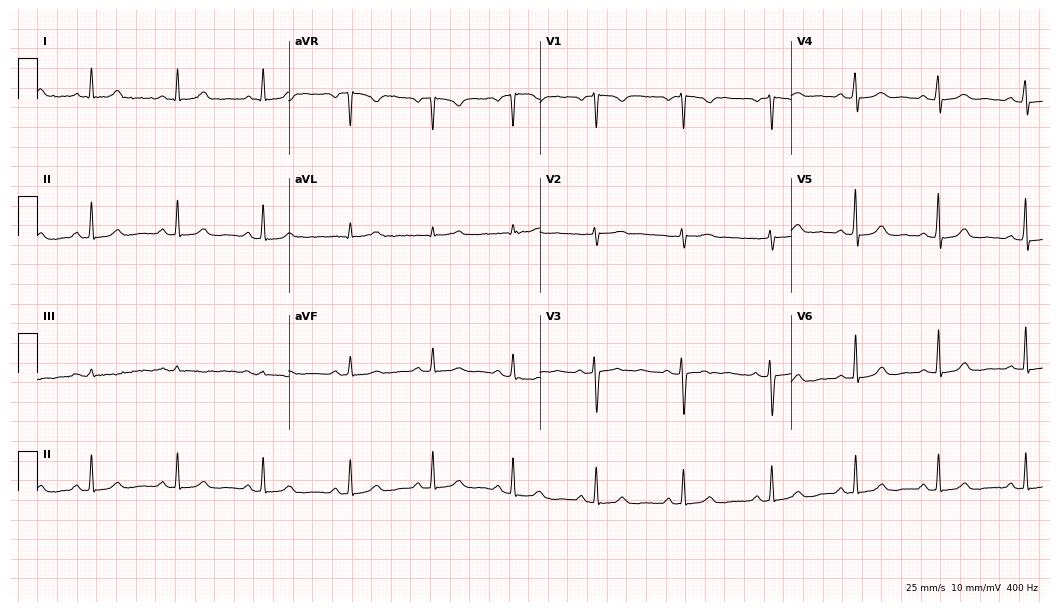
Electrocardiogram (10.2-second recording at 400 Hz), a female, 43 years old. Overall reading on record: normal ECG.